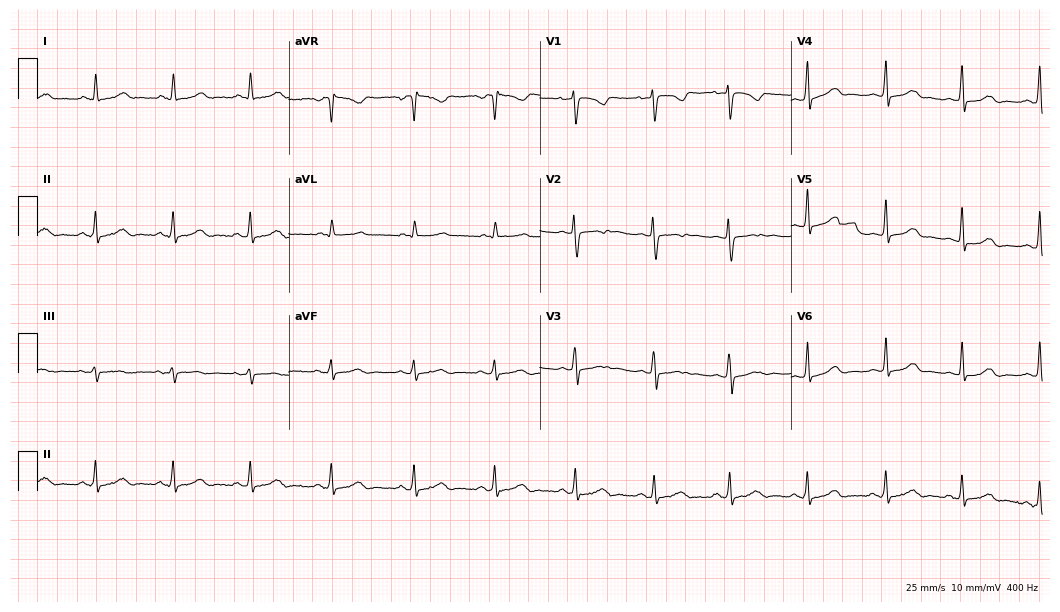
Electrocardiogram, a woman, 21 years old. Overall reading on record: normal ECG.